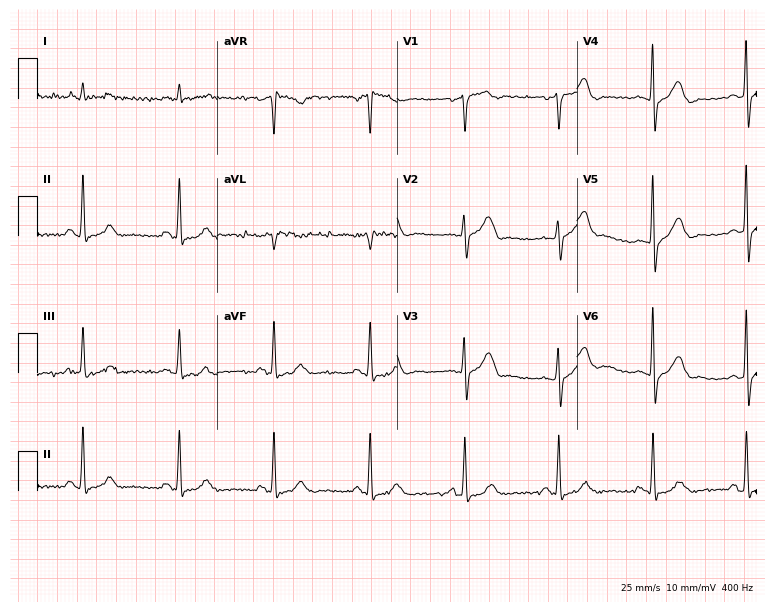
Electrocardiogram, a male, 61 years old. Of the six screened findings (first-degree AV block, right bundle branch block, left bundle branch block, sinus bradycardia, atrial fibrillation, sinus tachycardia), none is recorded.